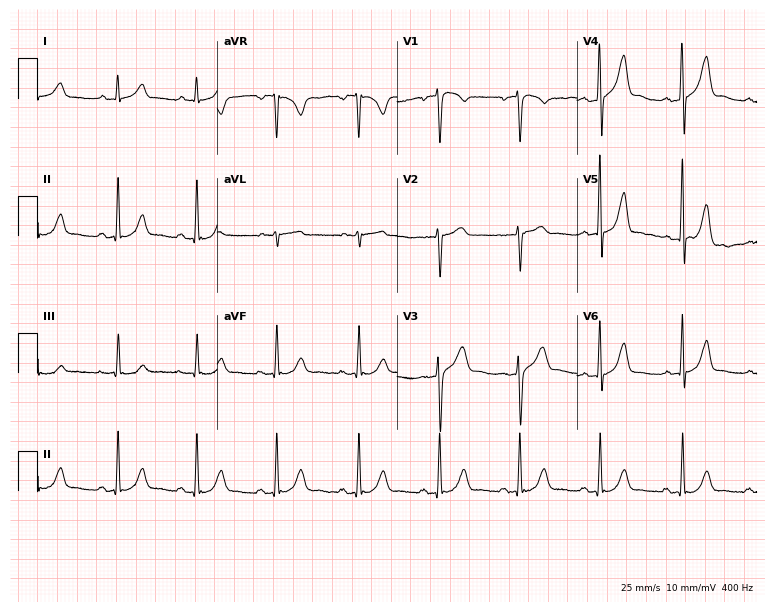
12-lead ECG from a man, 38 years old (7.3-second recording at 400 Hz). No first-degree AV block, right bundle branch block, left bundle branch block, sinus bradycardia, atrial fibrillation or sinus tachycardia recorded for this tracing.